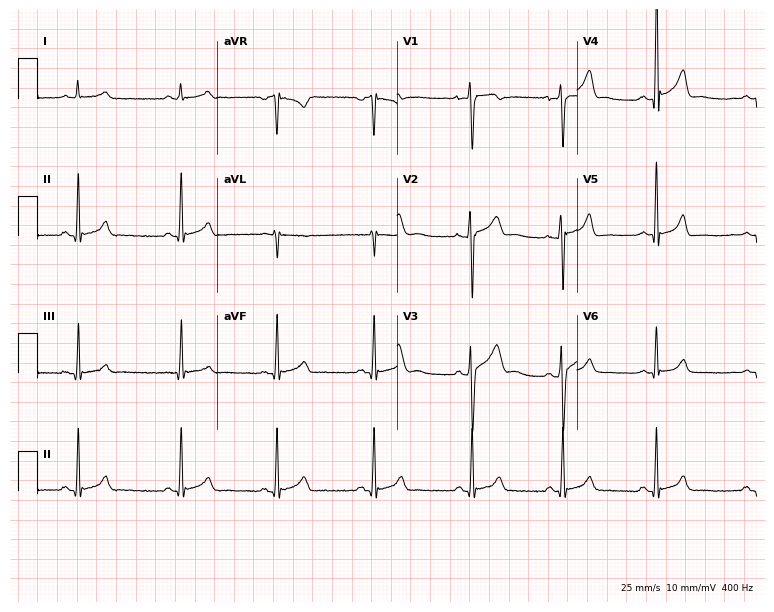
Standard 12-lead ECG recorded from a male patient, 22 years old. None of these six findings is recorded: first-degree AV block, right bundle branch block, left bundle branch block, sinus bradycardia, atrial fibrillation, sinus tachycardia.